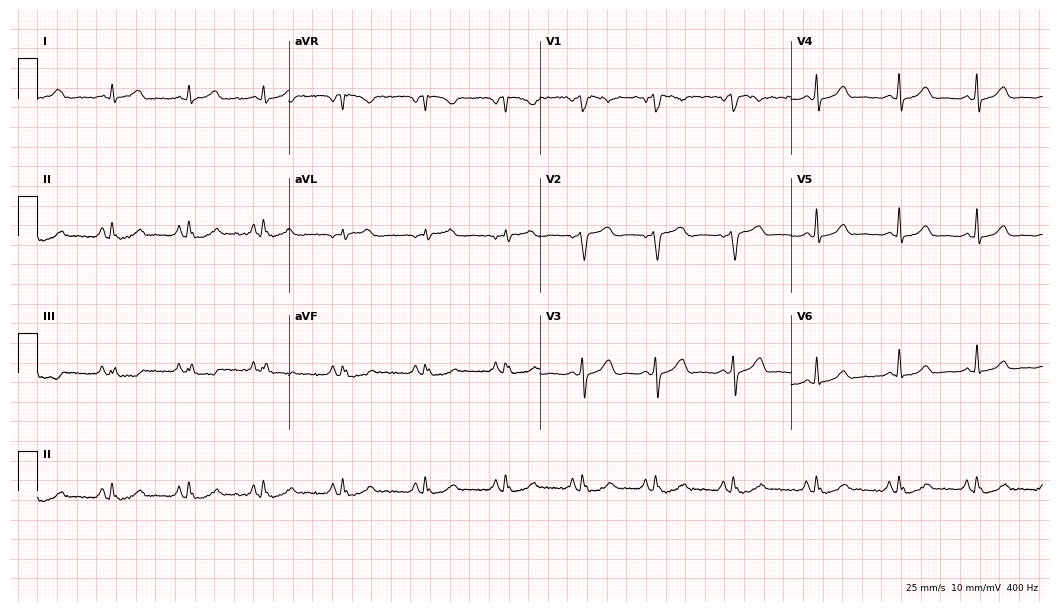
Resting 12-lead electrocardiogram. Patient: a 26-year-old female. Read as a normal ECG.